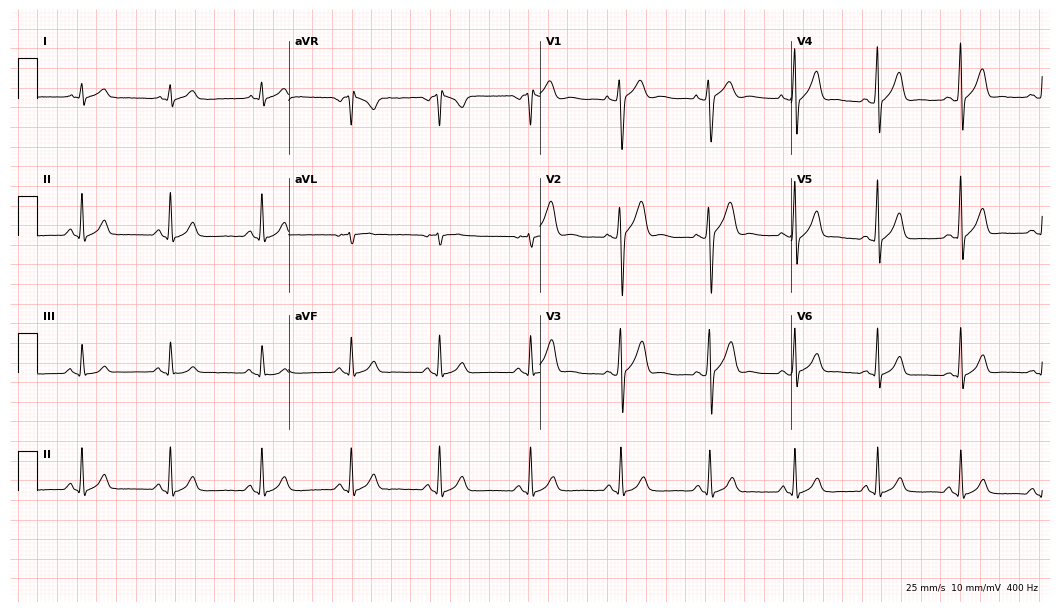
Resting 12-lead electrocardiogram. Patient: a 19-year-old man. Read as a normal ECG.